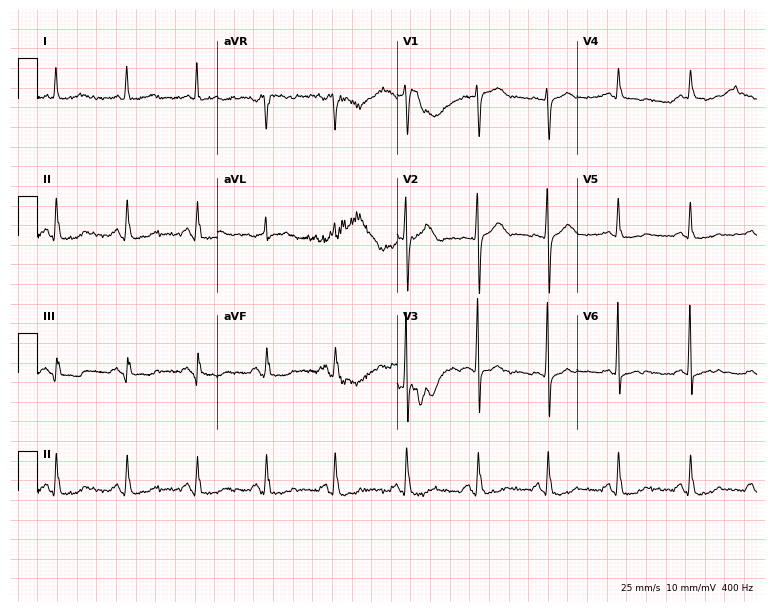
ECG (7.3-second recording at 400 Hz) — a female patient, 67 years old. Screened for six findings — first-degree AV block, right bundle branch block, left bundle branch block, sinus bradycardia, atrial fibrillation, sinus tachycardia — none is recorded. Other findings, if any, are not listed.